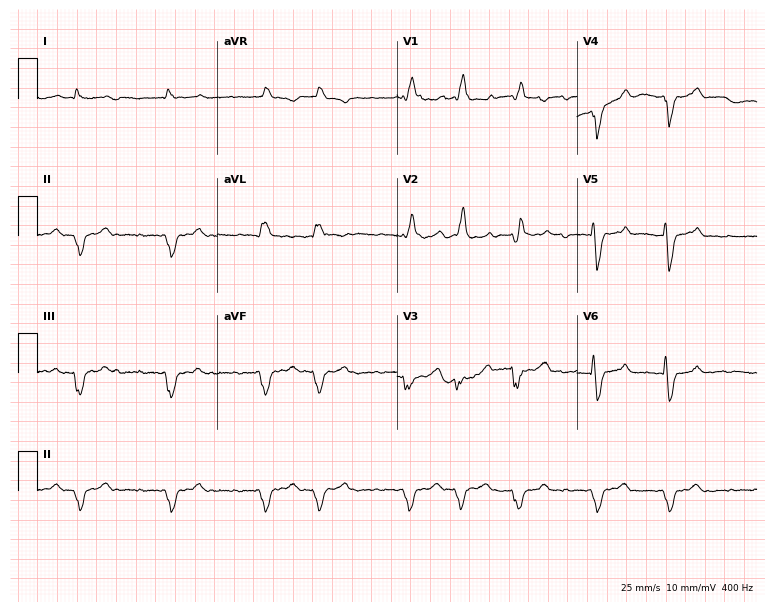
Standard 12-lead ECG recorded from a 72-year-old male patient. The tracing shows right bundle branch block, atrial fibrillation.